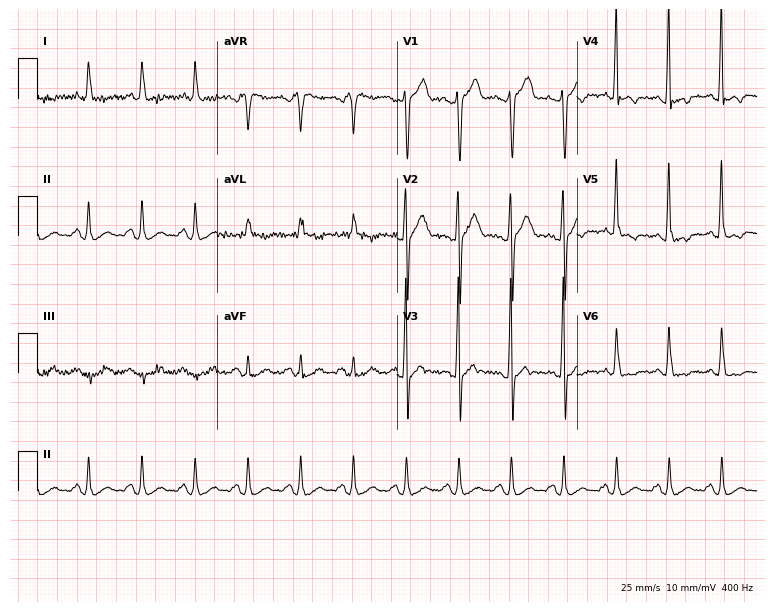
ECG — a 69-year-old man. Screened for six findings — first-degree AV block, right bundle branch block (RBBB), left bundle branch block (LBBB), sinus bradycardia, atrial fibrillation (AF), sinus tachycardia — none is recorded.